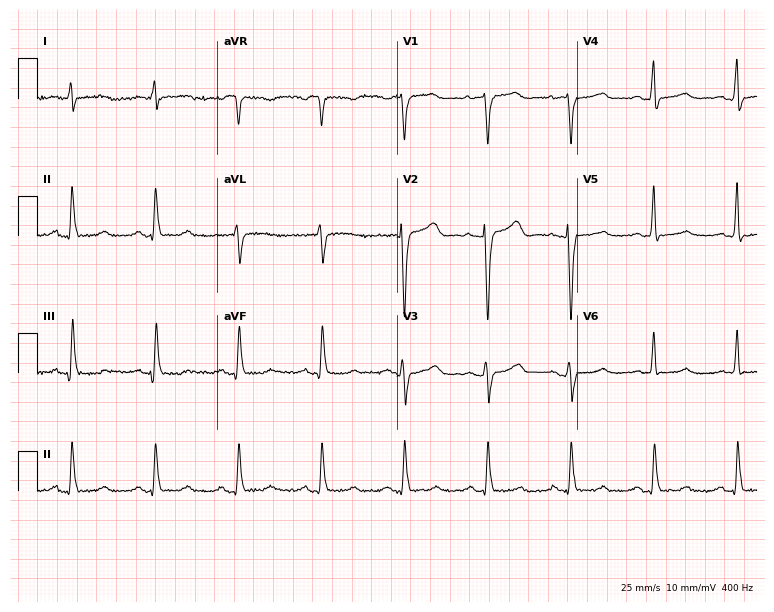
Electrocardiogram (7.3-second recording at 400 Hz), an 82-year-old man. Of the six screened findings (first-degree AV block, right bundle branch block, left bundle branch block, sinus bradycardia, atrial fibrillation, sinus tachycardia), none is recorded. Other findings, if any, are not listed.